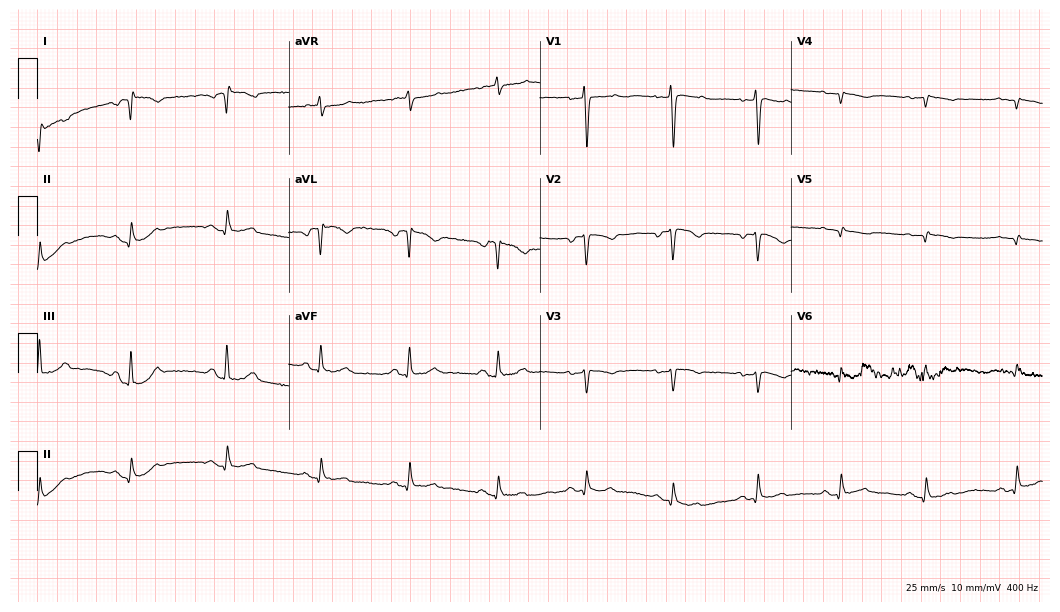
Standard 12-lead ECG recorded from a 58-year-old woman (10.2-second recording at 400 Hz). None of these six findings is recorded: first-degree AV block, right bundle branch block (RBBB), left bundle branch block (LBBB), sinus bradycardia, atrial fibrillation (AF), sinus tachycardia. Findings outside these six are not listed.